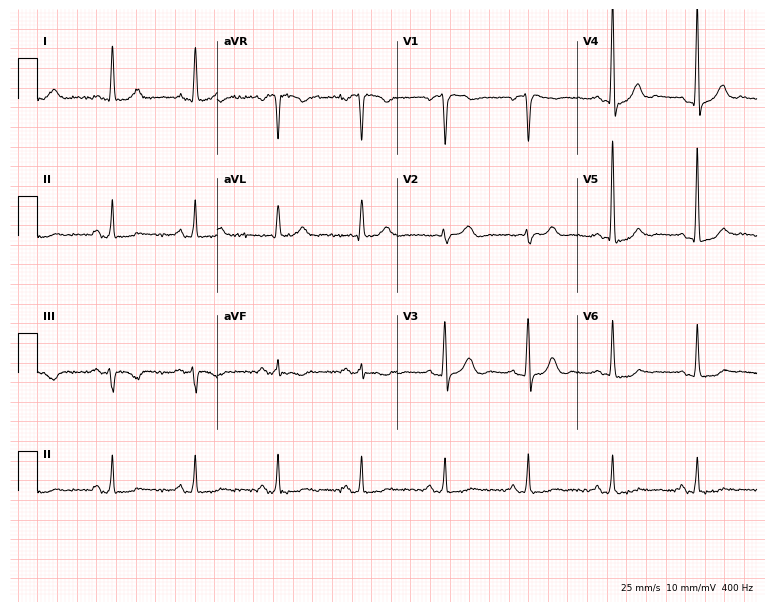
Electrocardiogram, a male patient, 71 years old. Of the six screened findings (first-degree AV block, right bundle branch block, left bundle branch block, sinus bradycardia, atrial fibrillation, sinus tachycardia), none is recorded.